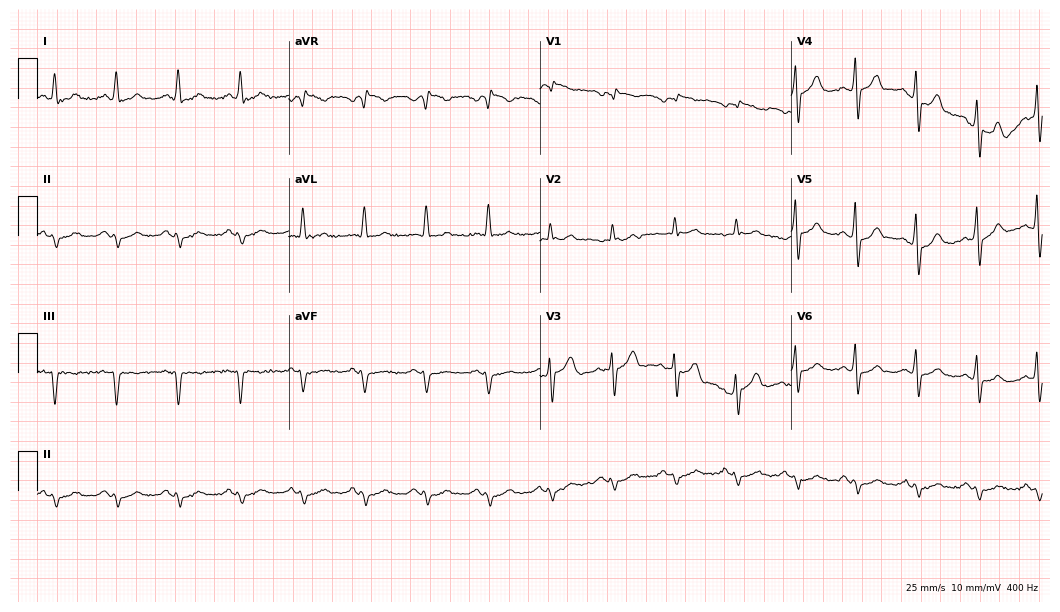
Standard 12-lead ECG recorded from a 73-year-old male. None of these six findings is recorded: first-degree AV block, right bundle branch block (RBBB), left bundle branch block (LBBB), sinus bradycardia, atrial fibrillation (AF), sinus tachycardia.